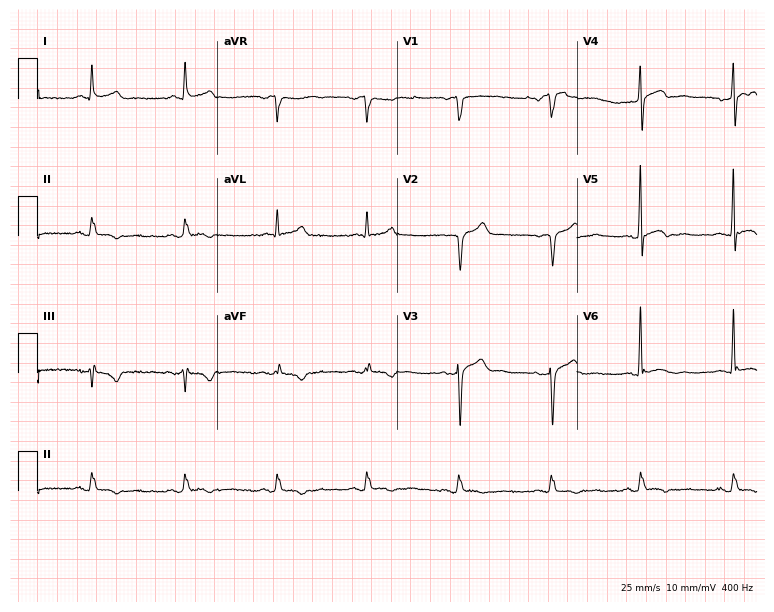
12-lead ECG from a 46-year-old male patient. No first-degree AV block, right bundle branch block (RBBB), left bundle branch block (LBBB), sinus bradycardia, atrial fibrillation (AF) or sinus tachycardia recorded for this tracing. Findings outside these six are not listed.